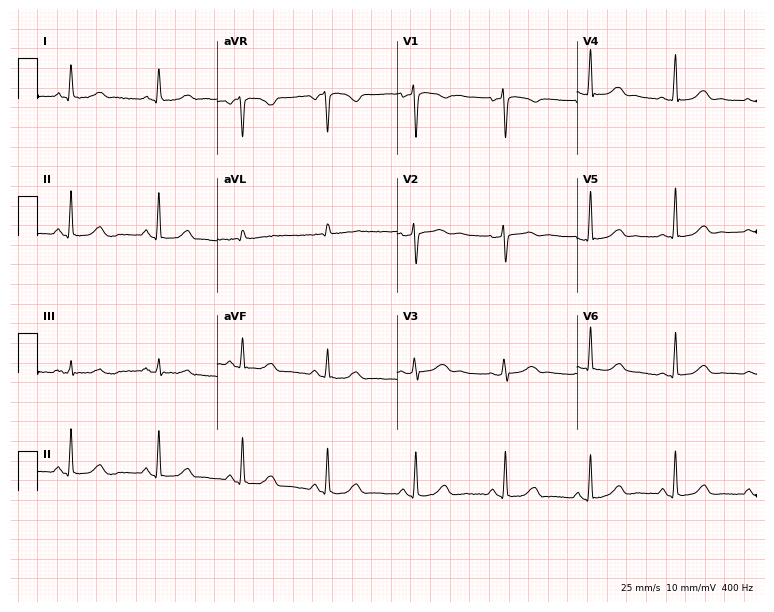
12-lead ECG (7.3-second recording at 400 Hz) from a woman, 48 years old. Screened for six findings — first-degree AV block, right bundle branch block (RBBB), left bundle branch block (LBBB), sinus bradycardia, atrial fibrillation (AF), sinus tachycardia — none is recorded. Only these six findings were labelled.